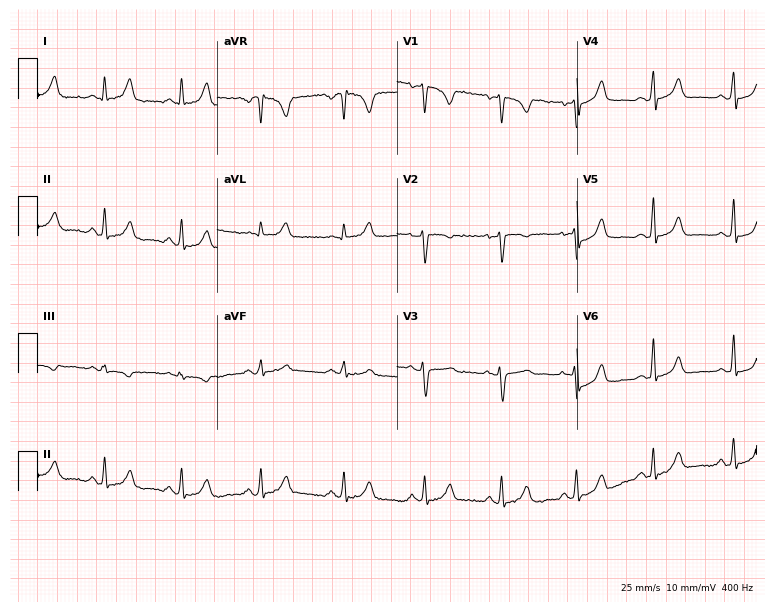
Electrocardiogram (7.3-second recording at 400 Hz), a 37-year-old female. Of the six screened findings (first-degree AV block, right bundle branch block (RBBB), left bundle branch block (LBBB), sinus bradycardia, atrial fibrillation (AF), sinus tachycardia), none is recorded. Only these six findings were labelled.